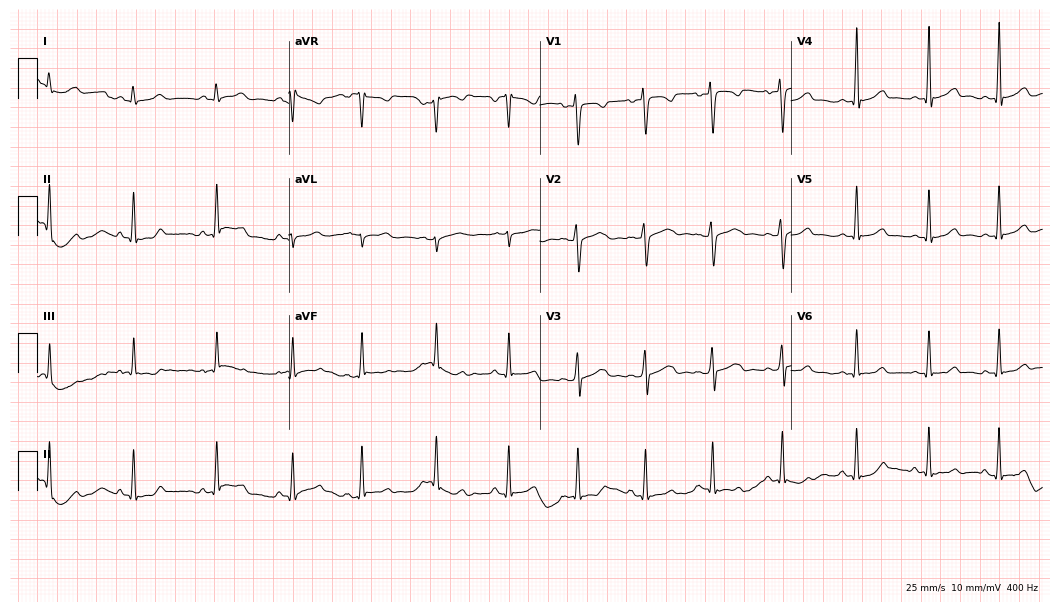
12-lead ECG (10.2-second recording at 400 Hz) from a 20-year-old female. Screened for six findings — first-degree AV block, right bundle branch block, left bundle branch block, sinus bradycardia, atrial fibrillation, sinus tachycardia — none is recorded.